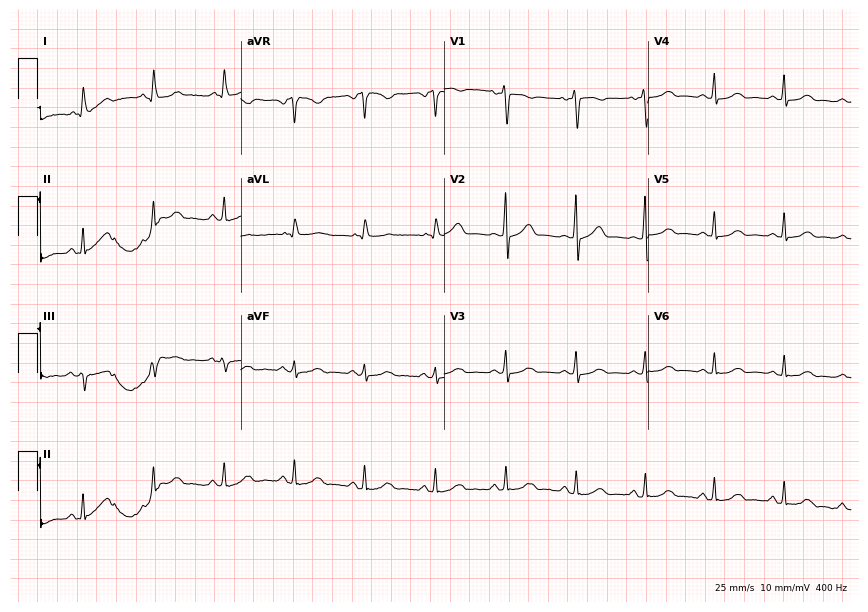
ECG — a female, 63 years old. Screened for six findings — first-degree AV block, right bundle branch block, left bundle branch block, sinus bradycardia, atrial fibrillation, sinus tachycardia — none is recorded. Only these six findings were labelled.